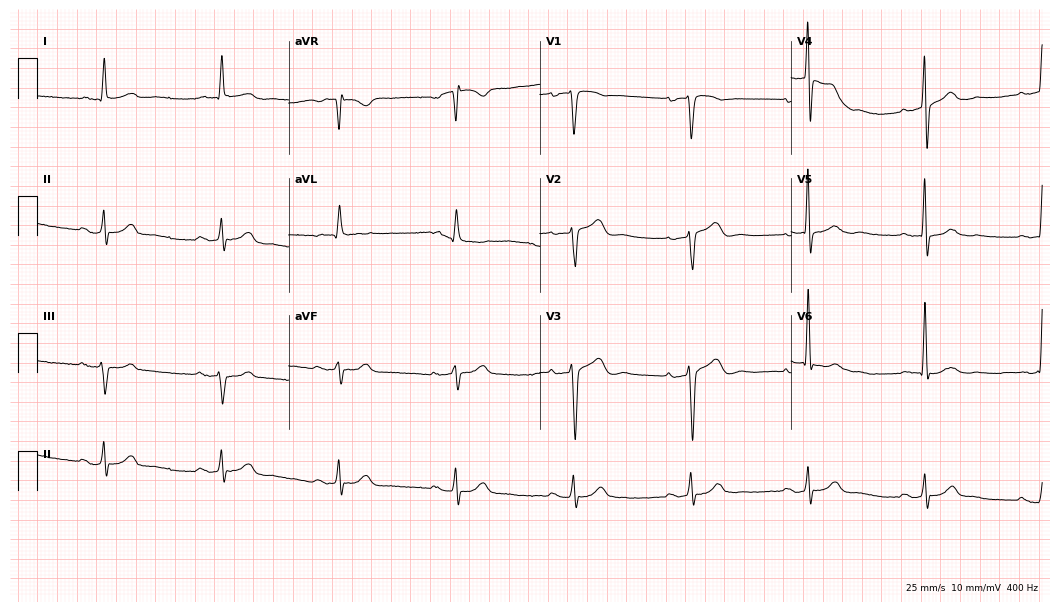
Resting 12-lead electrocardiogram. Patient: a 73-year-old man. The tracing shows first-degree AV block.